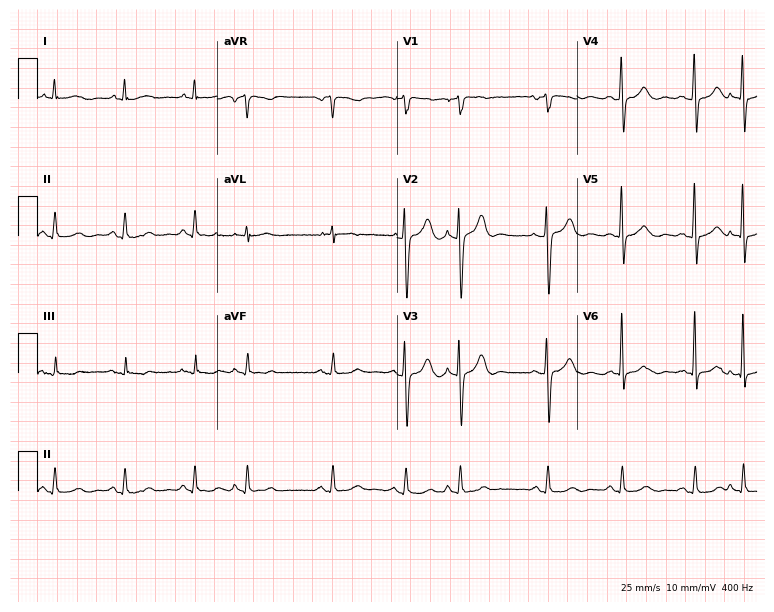
Electrocardiogram (7.3-second recording at 400 Hz), a man, 83 years old. Overall reading on record: normal ECG.